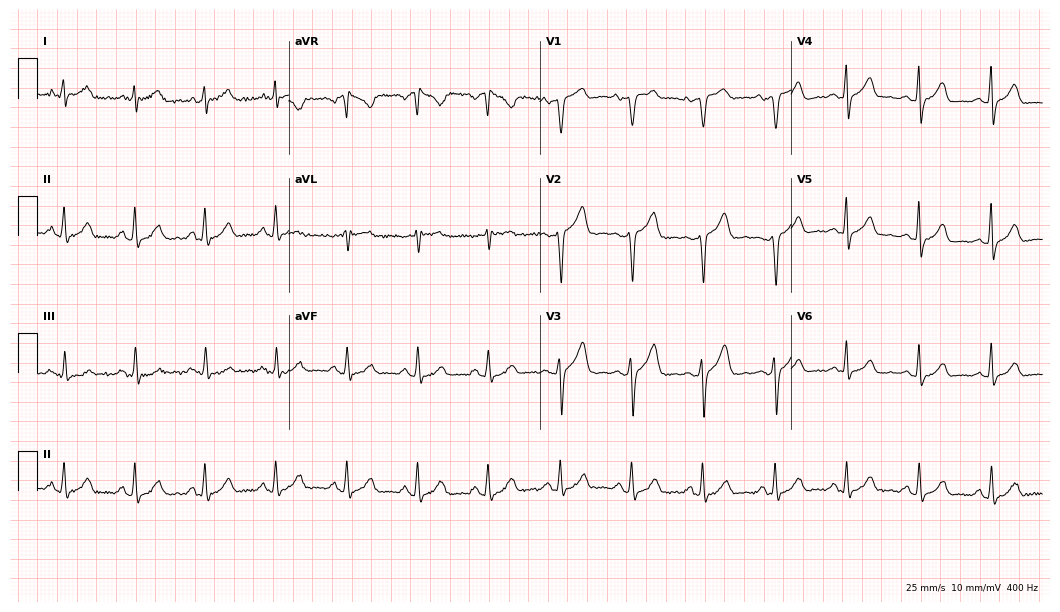
Resting 12-lead electrocardiogram. Patient: a female, 49 years old. Read as a normal ECG.